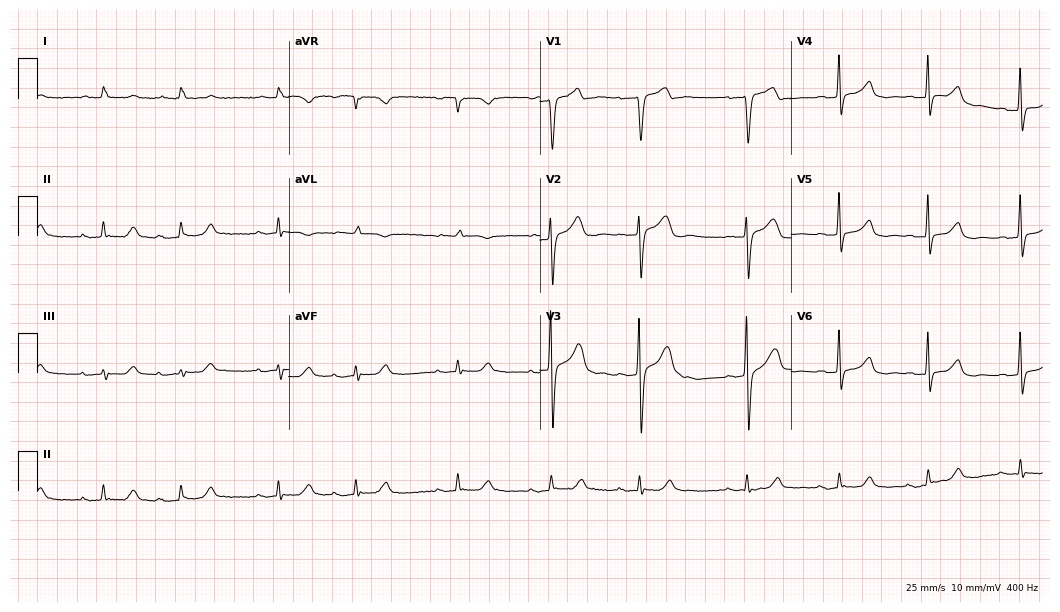
12-lead ECG from a male, 87 years old. Screened for six findings — first-degree AV block, right bundle branch block, left bundle branch block, sinus bradycardia, atrial fibrillation, sinus tachycardia — none is recorded. Only these six findings were labelled.